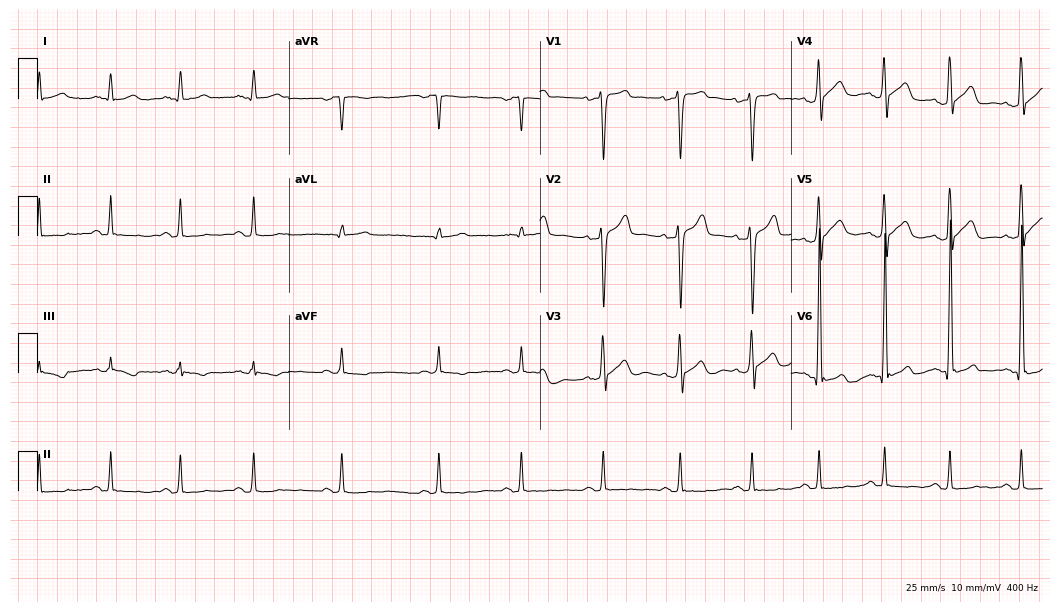
Electrocardiogram, a 38-year-old man. Of the six screened findings (first-degree AV block, right bundle branch block (RBBB), left bundle branch block (LBBB), sinus bradycardia, atrial fibrillation (AF), sinus tachycardia), none is recorded.